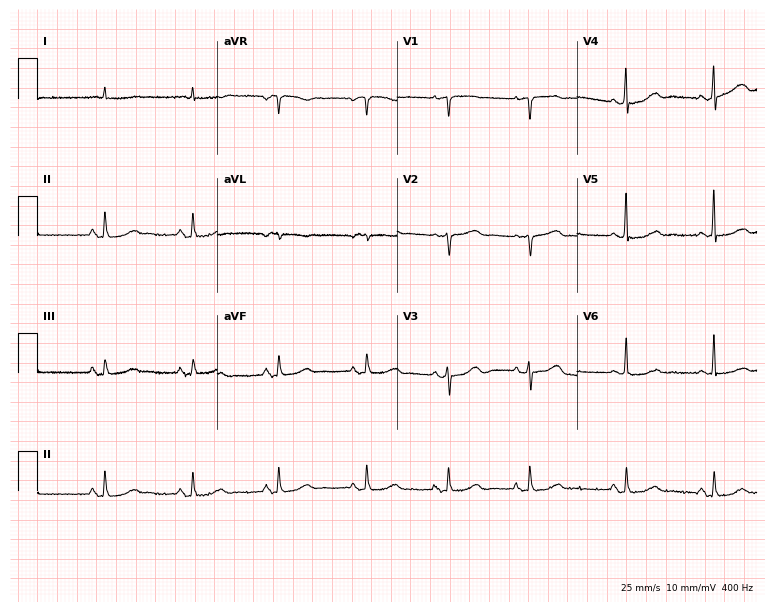
ECG — an 83-year-old woman. Labelled as a normal ECG.